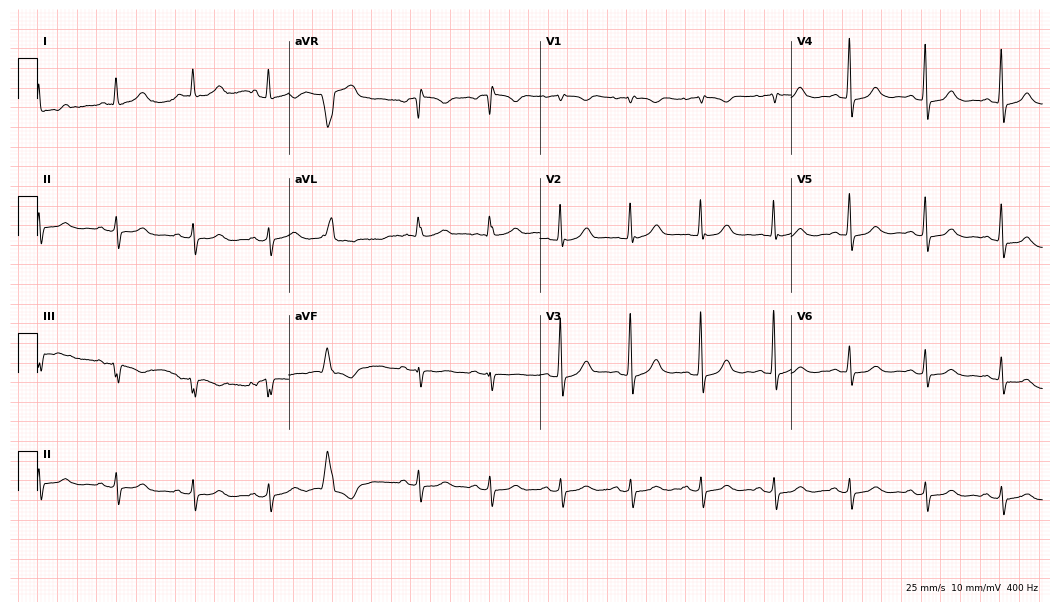
Standard 12-lead ECG recorded from a 67-year-old woman (10.2-second recording at 400 Hz). None of these six findings is recorded: first-degree AV block, right bundle branch block (RBBB), left bundle branch block (LBBB), sinus bradycardia, atrial fibrillation (AF), sinus tachycardia.